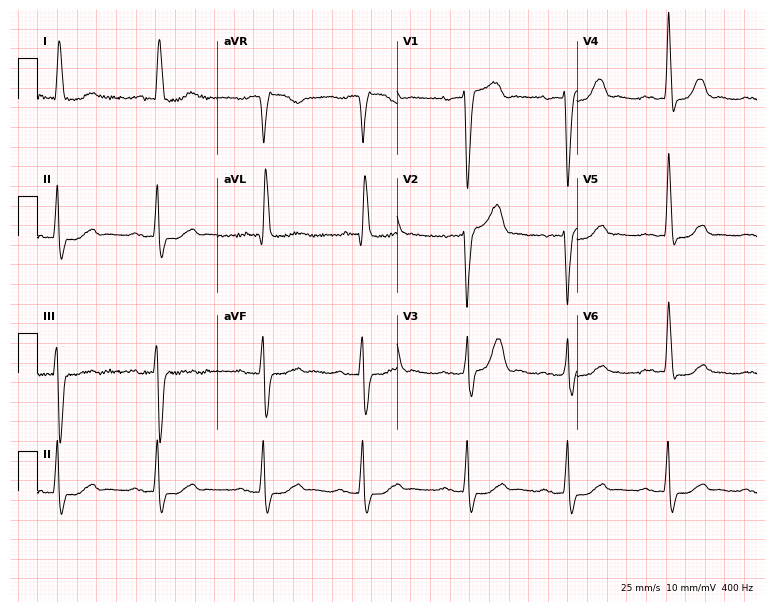
12-lead ECG from a female, 79 years old (7.3-second recording at 400 Hz). Shows first-degree AV block, left bundle branch block (LBBB).